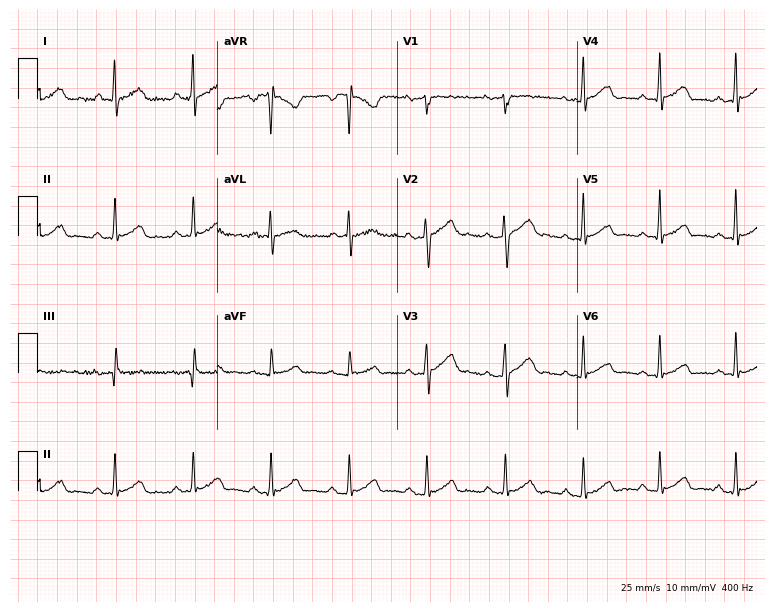
Standard 12-lead ECG recorded from a male, 37 years old (7.3-second recording at 400 Hz). Read as a normal ECG.